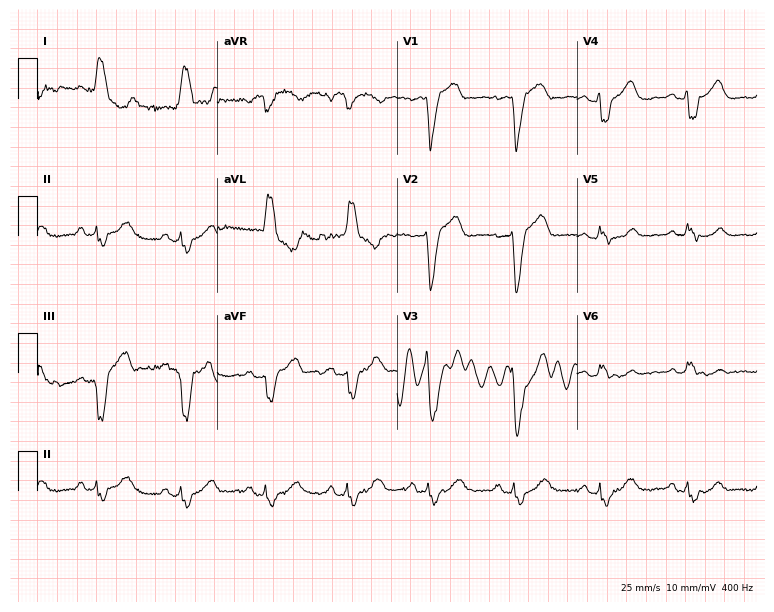
Standard 12-lead ECG recorded from a woman, 80 years old. The tracing shows left bundle branch block.